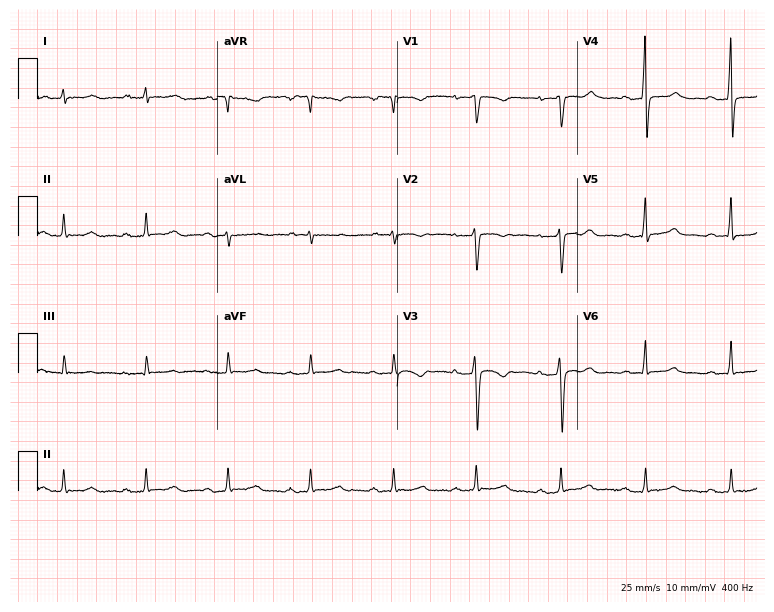
Resting 12-lead electrocardiogram (7.3-second recording at 400 Hz). Patient: a 42-year-old female. The tracing shows first-degree AV block.